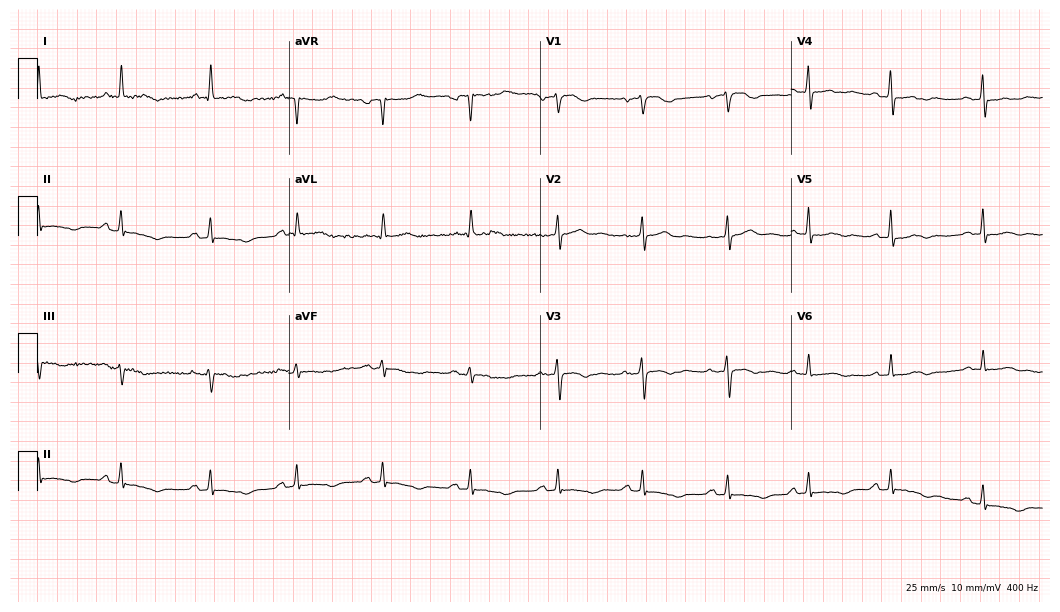
12-lead ECG from a female patient, 62 years old (10.2-second recording at 400 Hz). No first-degree AV block, right bundle branch block, left bundle branch block, sinus bradycardia, atrial fibrillation or sinus tachycardia recorded for this tracing. Findings outside these six are not listed.